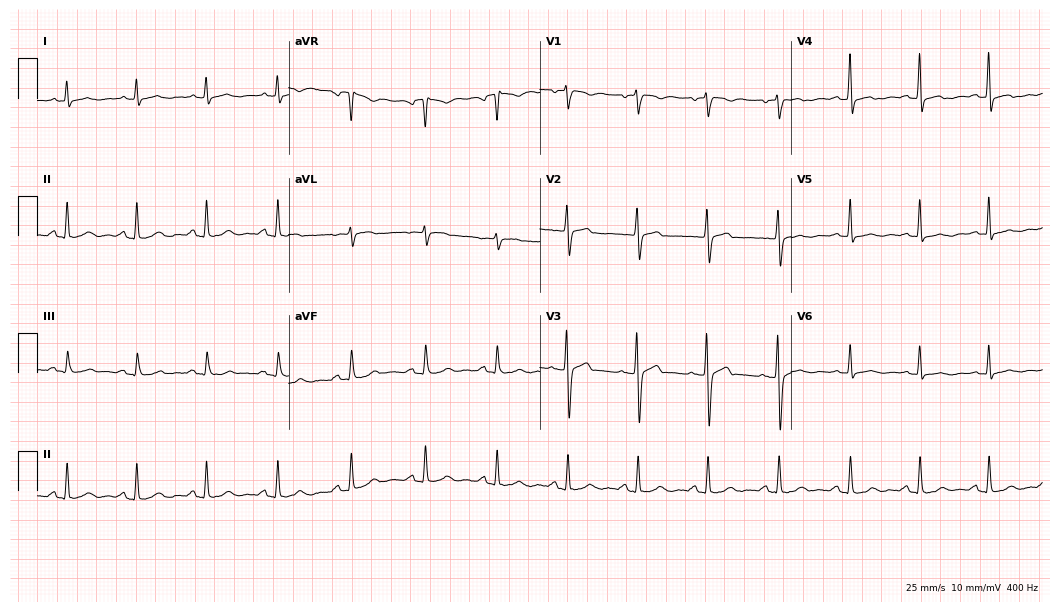
Standard 12-lead ECG recorded from a 35-year-old woman (10.2-second recording at 400 Hz). None of these six findings is recorded: first-degree AV block, right bundle branch block, left bundle branch block, sinus bradycardia, atrial fibrillation, sinus tachycardia. Only these six findings were labelled.